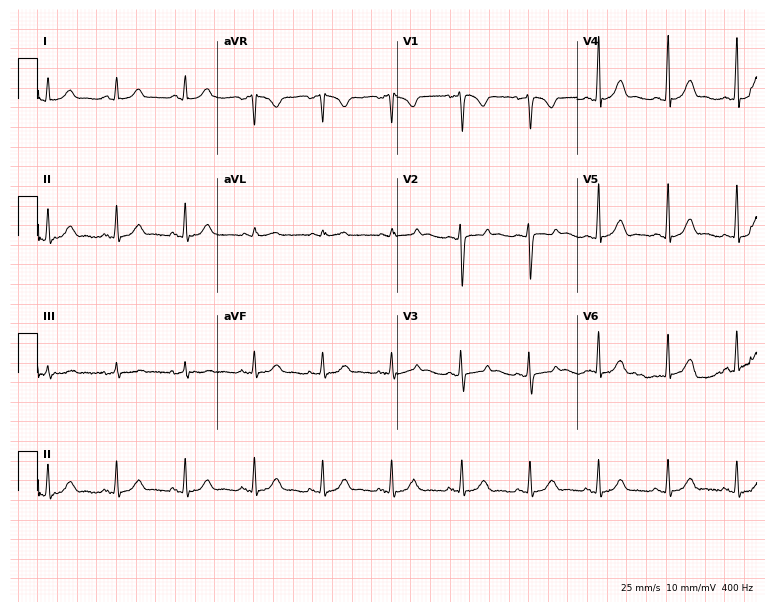
Resting 12-lead electrocardiogram (7.3-second recording at 400 Hz). Patient: a 34-year-old female. Read as a normal ECG.